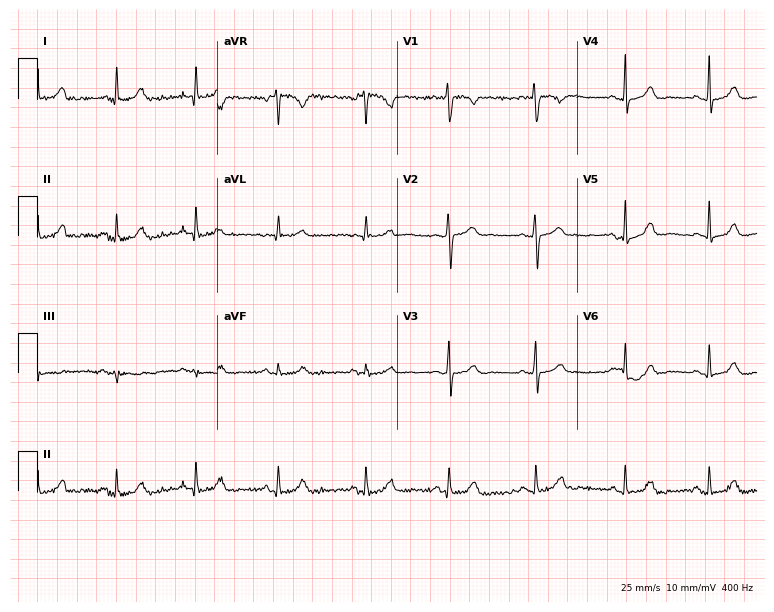
Electrocardiogram, a 23-year-old woman. Overall reading on record: normal ECG.